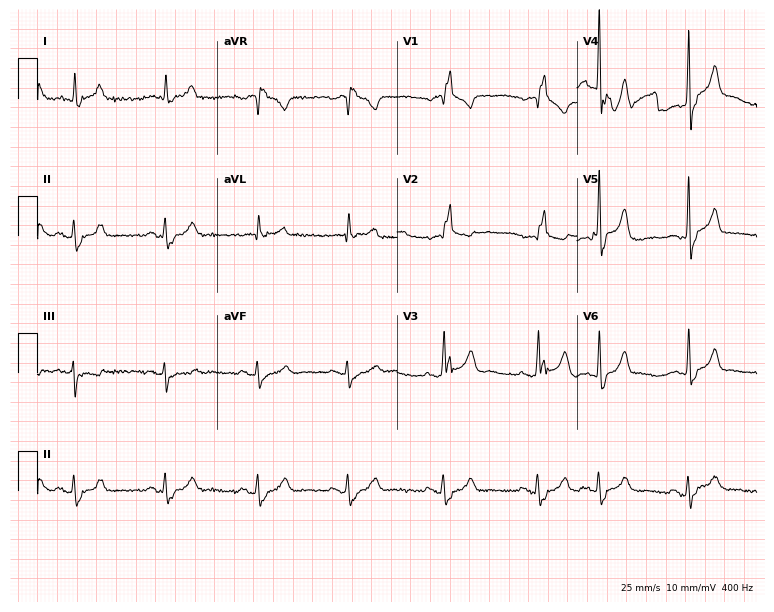
ECG — a male patient, 82 years old. Findings include right bundle branch block.